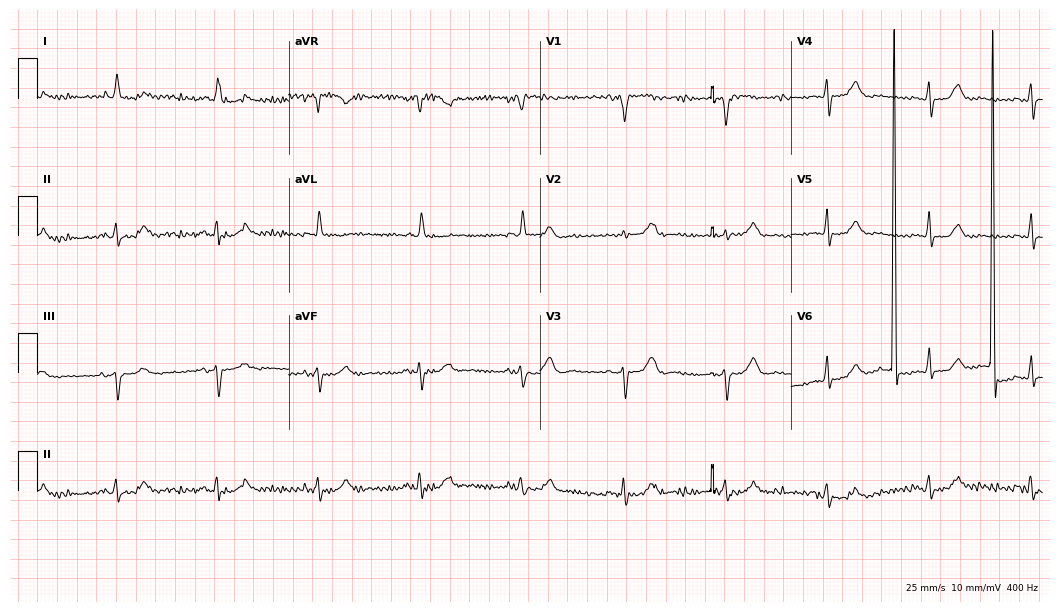
12-lead ECG from a female, 85 years old (10.2-second recording at 400 Hz). No first-degree AV block, right bundle branch block, left bundle branch block, sinus bradycardia, atrial fibrillation or sinus tachycardia recorded for this tracing.